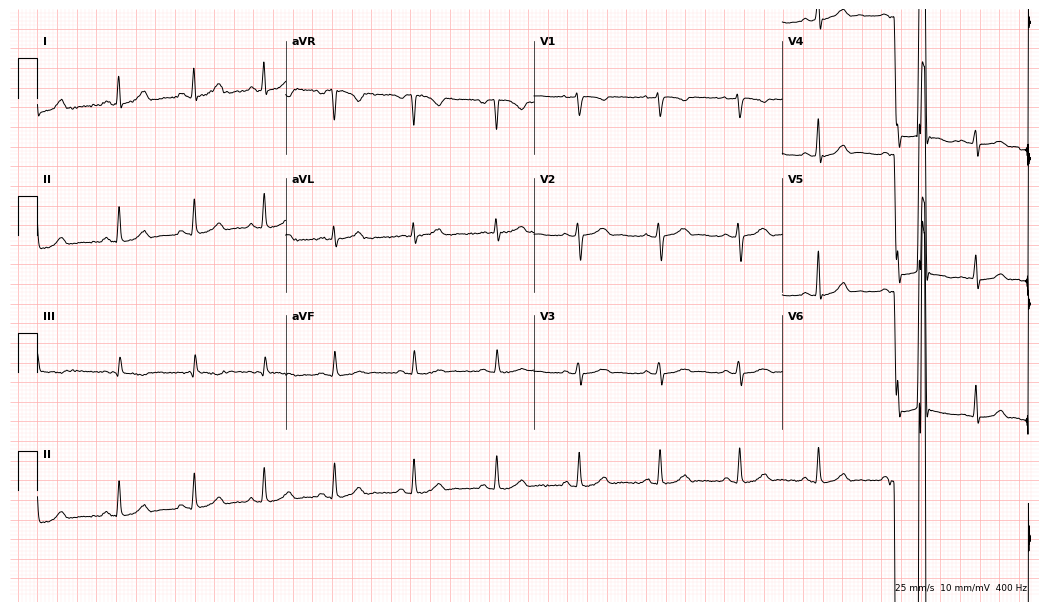
Electrocardiogram (10.1-second recording at 400 Hz), a woman, 22 years old. Of the six screened findings (first-degree AV block, right bundle branch block, left bundle branch block, sinus bradycardia, atrial fibrillation, sinus tachycardia), none is recorded.